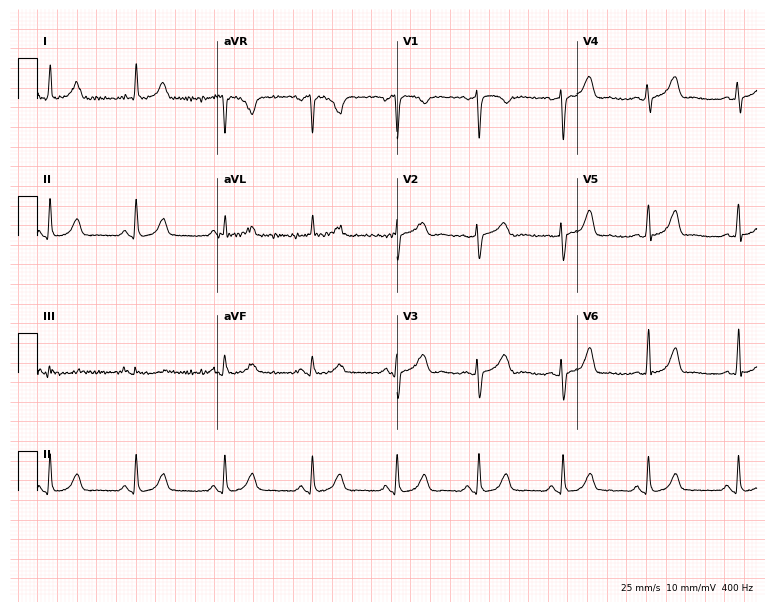
Electrocardiogram (7.3-second recording at 400 Hz), a woman, 53 years old. Overall reading on record: normal ECG.